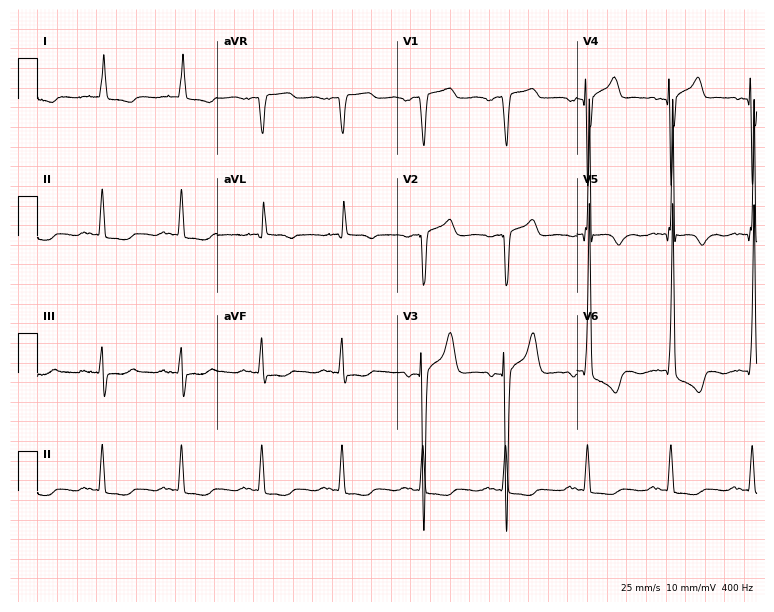
Electrocardiogram (7.3-second recording at 400 Hz), an 82-year-old male. Of the six screened findings (first-degree AV block, right bundle branch block (RBBB), left bundle branch block (LBBB), sinus bradycardia, atrial fibrillation (AF), sinus tachycardia), none is recorded. Only these six findings were labelled.